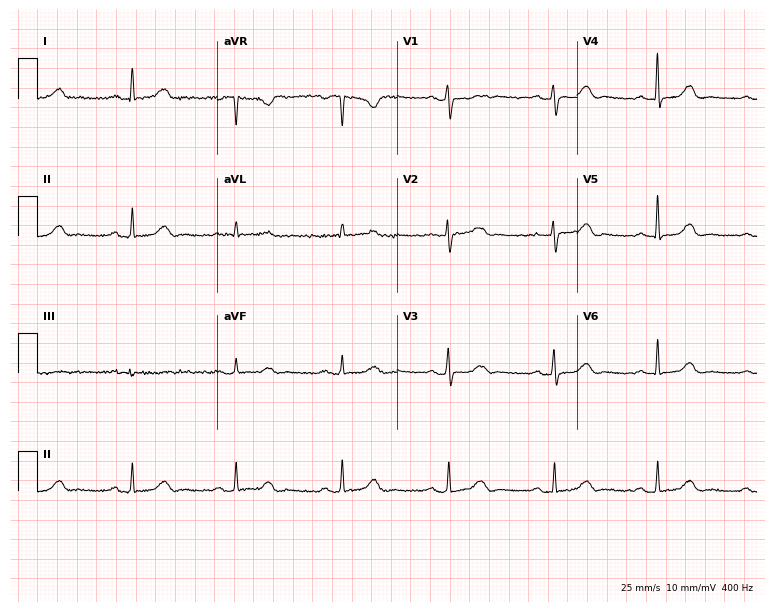
Electrocardiogram, a 45-year-old female. Overall reading on record: normal ECG.